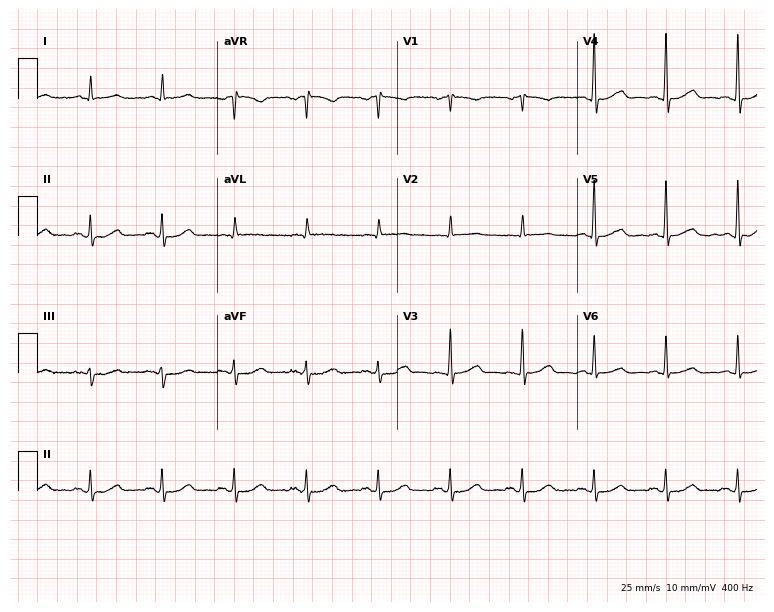
12-lead ECG from a male patient, 66 years old. Recorded interpretation: within normal limits.